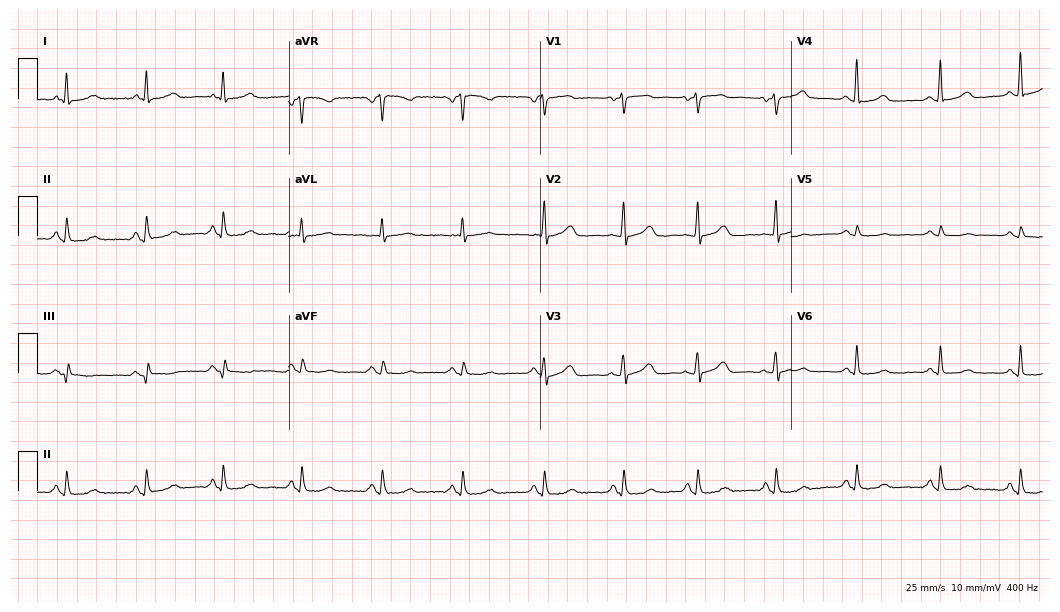
12-lead ECG from a female patient, 55 years old. Screened for six findings — first-degree AV block, right bundle branch block, left bundle branch block, sinus bradycardia, atrial fibrillation, sinus tachycardia — none is recorded. Only these six findings were labelled.